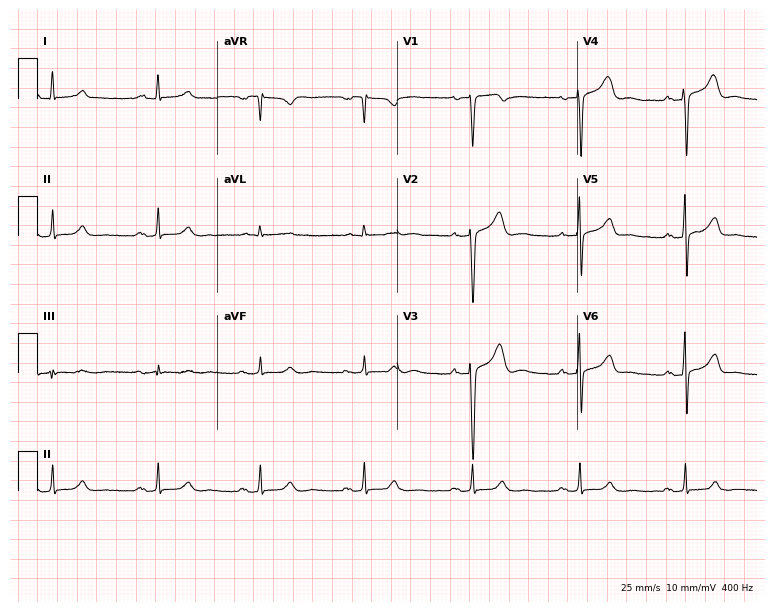
Resting 12-lead electrocardiogram. Patient: a 58-year-old male. None of these six findings is recorded: first-degree AV block, right bundle branch block (RBBB), left bundle branch block (LBBB), sinus bradycardia, atrial fibrillation (AF), sinus tachycardia. Other findings, if any, are not listed.